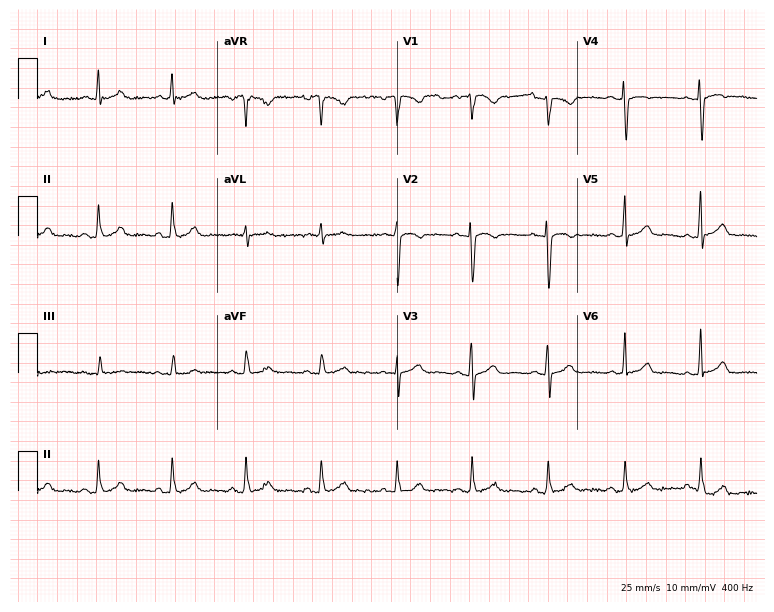
Resting 12-lead electrocardiogram. Patient: a 52-year-old woman. Read as a normal ECG.